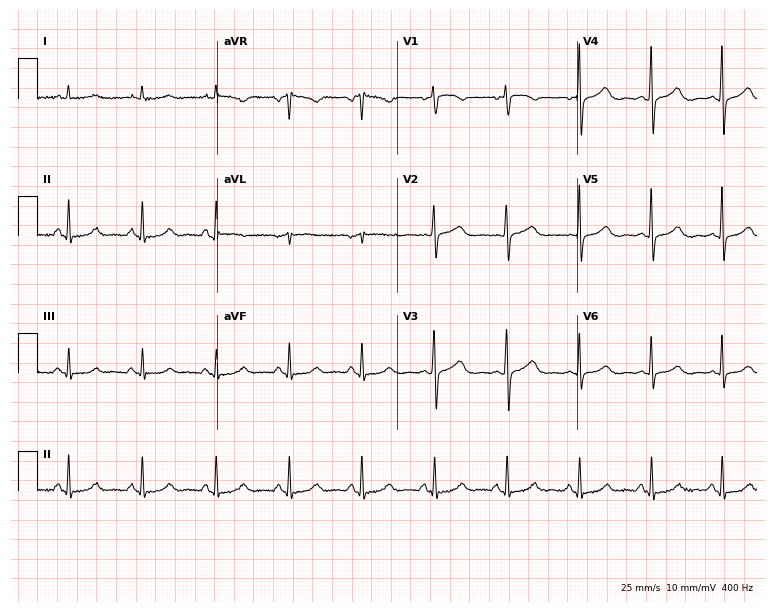
12-lead ECG from a 73-year-old woman (7.3-second recording at 400 Hz). No first-degree AV block, right bundle branch block, left bundle branch block, sinus bradycardia, atrial fibrillation or sinus tachycardia recorded for this tracing.